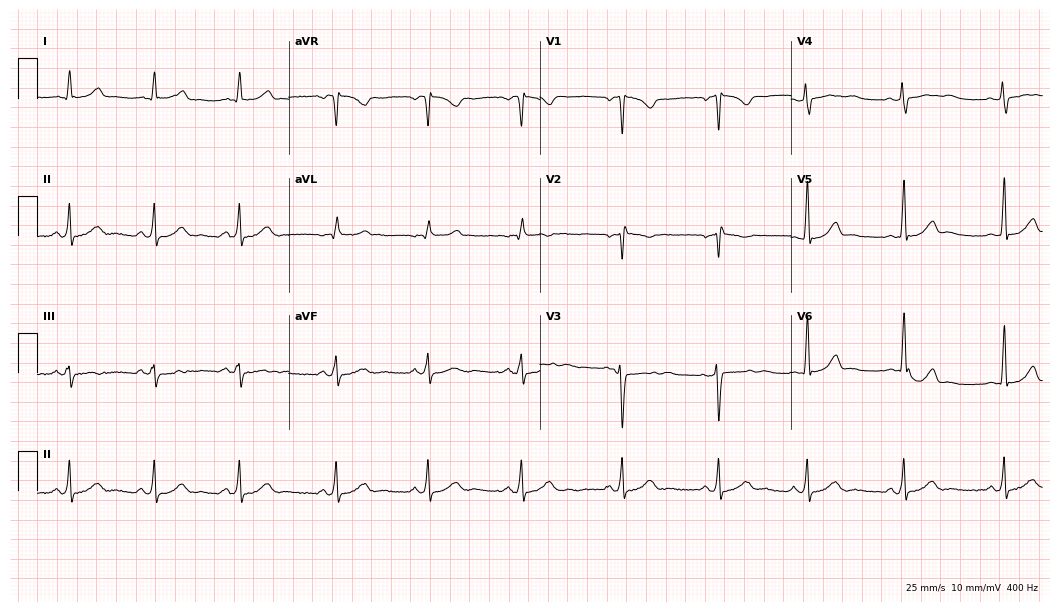
12-lead ECG from a 24-year-old female. No first-degree AV block, right bundle branch block (RBBB), left bundle branch block (LBBB), sinus bradycardia, atrial fibrillation (AF) or sinus tachycardia recorded for this tracing. Only these six findings were labelled.